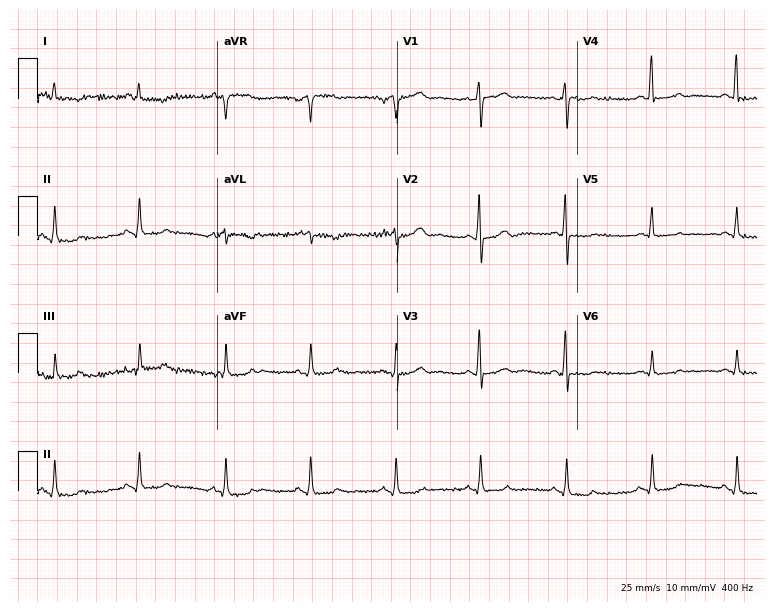
Electrocardiogram (7.3-second recording at 400 Hz), a 71-year-old woman. Overall reading on record: normal ECG.